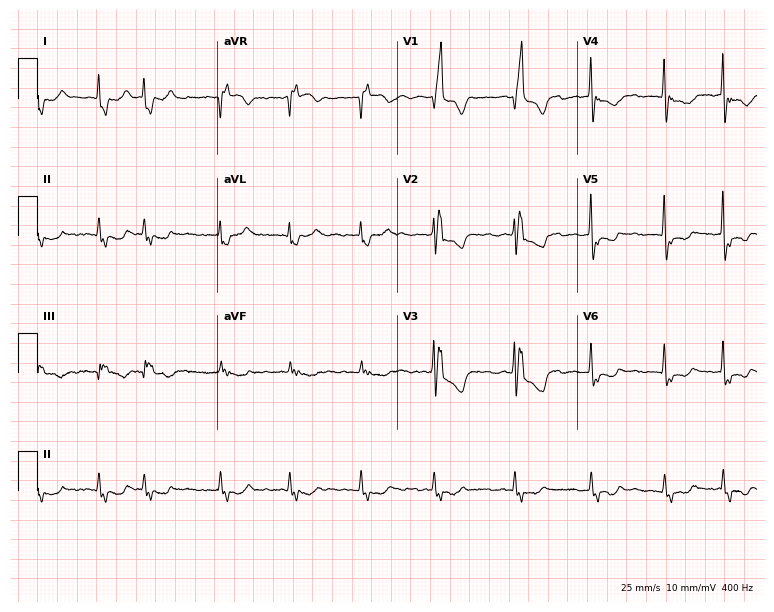
Electrocardiogram, a female, 86 years old. Interpretation includes right bundle branch block, atrial fibrillation.